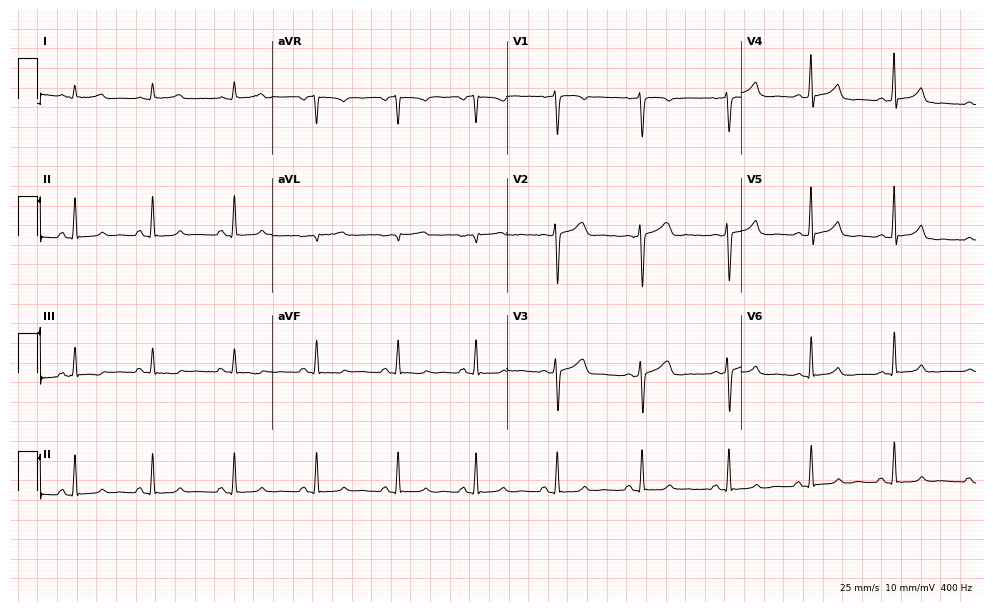
ECG (9.6-second recording at 400 Hz) — a female patient, 32 years old. Labelled as a normal ECG.